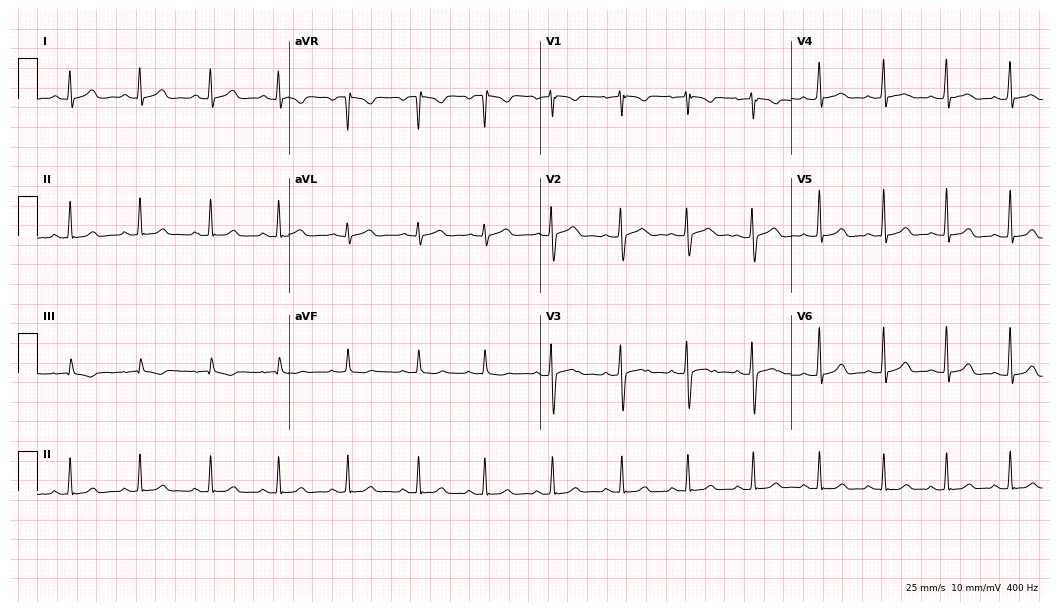
Standard 12-lead ECG recorded from a female patient, 19 years old (10.2-second recording at 400 Hz). Read as a normal ECG.